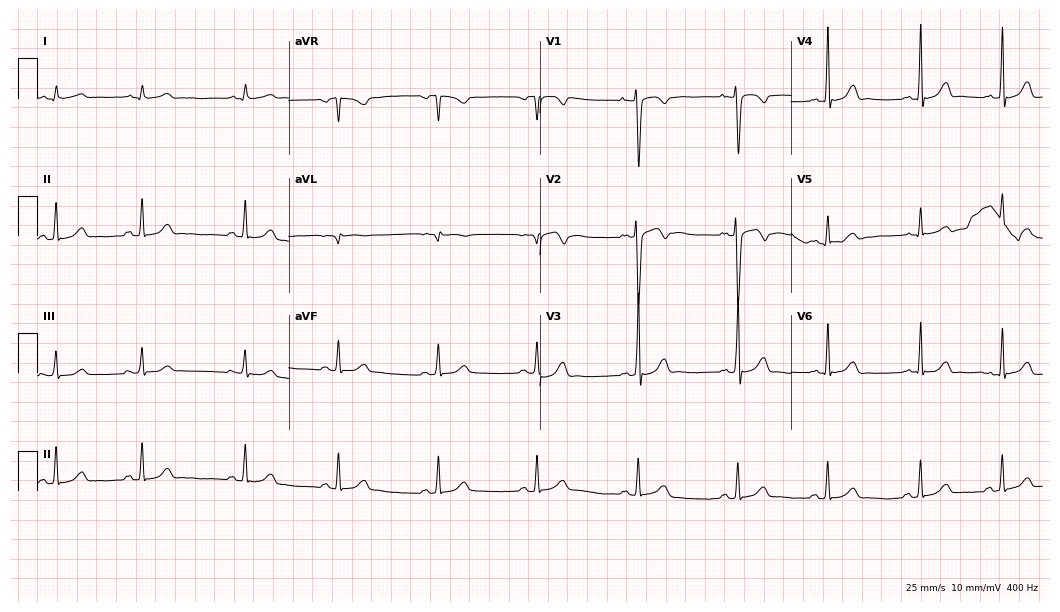
ECG (10.2-second recording at 400 Hz) — a 22-year-old female. Screened for six findings — first-degree AV block, right bundle branch block (RBBB), left bundle branch block (LBBB), sinus bradycardia, atrial fibrillation (AF), sinus tachycardia — none is recorded. Other findings, if any, are not listed.